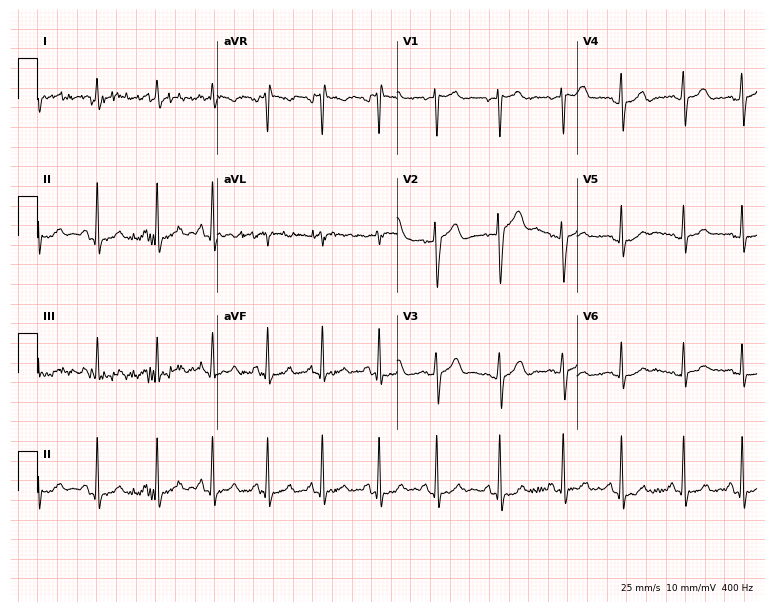
12-lead ECG (7.3-second recording at 400 Hz) from a male patient, 17 years old. Findings include sinus tachycardia (a sinus rate of 100 beats per minute or more).